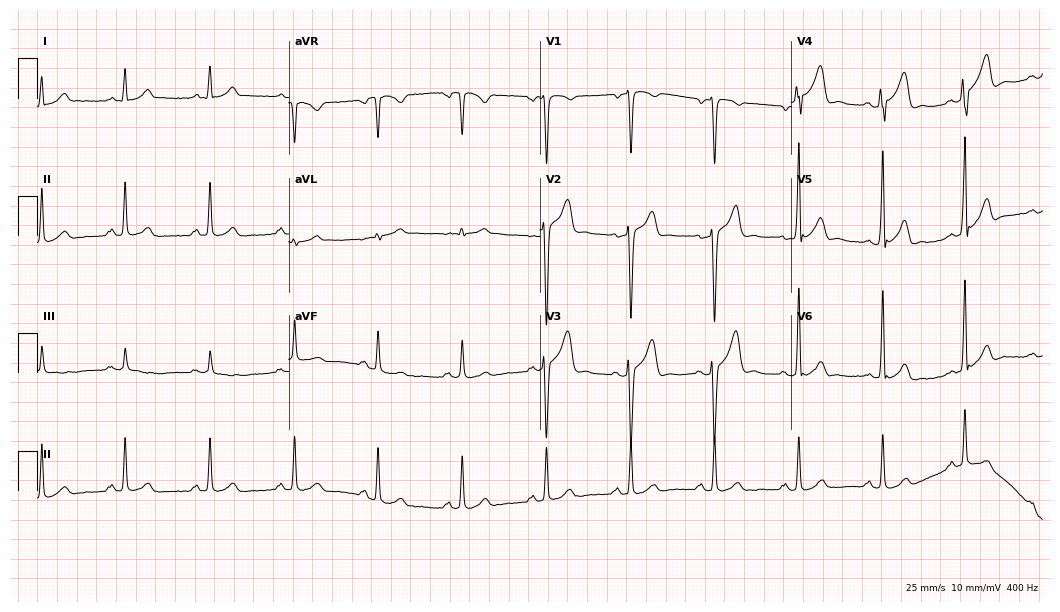
Standard 12-lead ECG recorded from a man, 48 years old (10.2-second recording at 400 Hz). Read as a normal ECG.